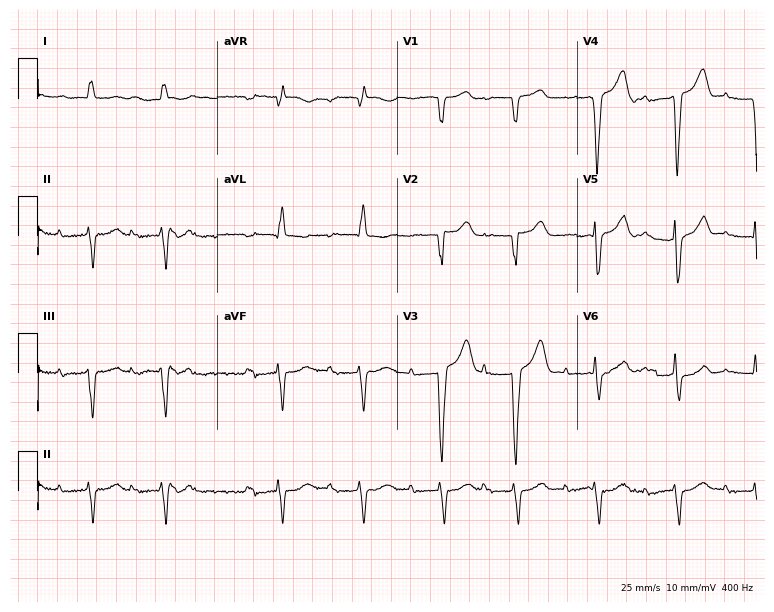
Resting 12-lead electrocardiogram. Patient: a 78-year-old female. The tracing shows first-degree AV block.